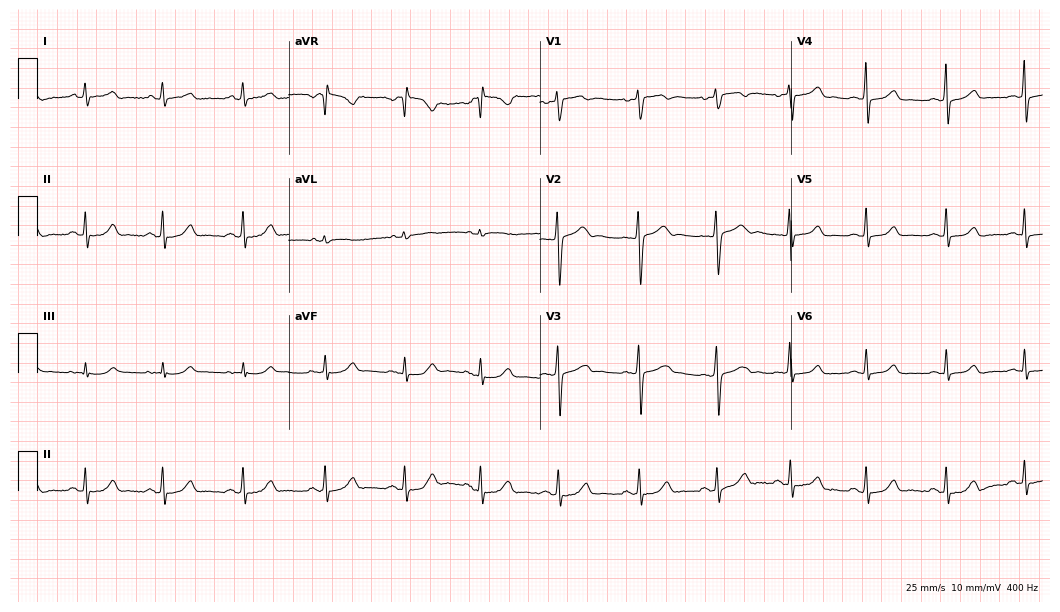
Standard 12-lead ECG recorded from a 32-year-old woman (10.2-second recording at 400 Hz). Read as a normal ECG.